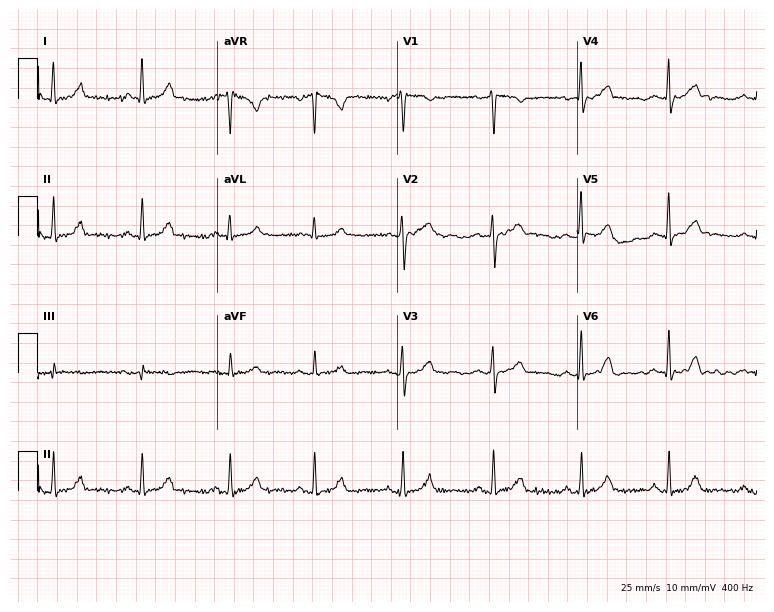
12-lead ECG from a female, 36 years old (7.3-second recording at 400 Hz). Recorded interpretation: within normal limits.